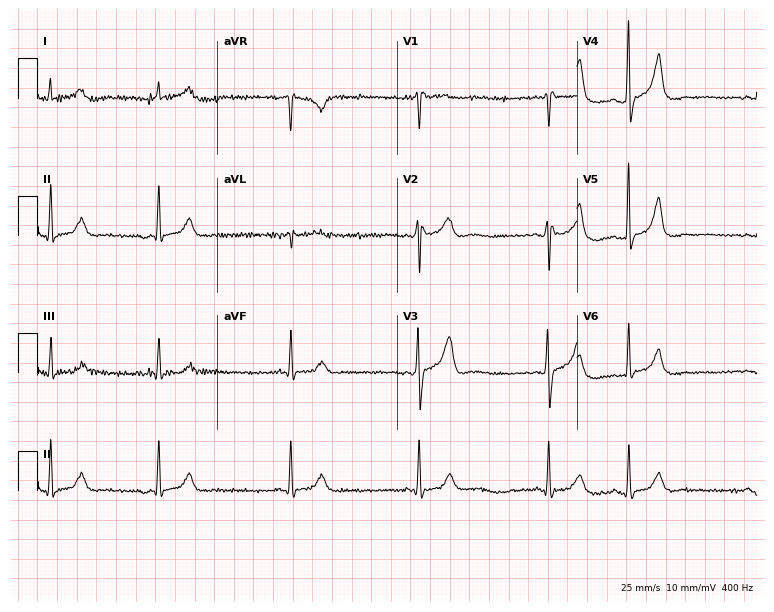
ECG (7.3-second recording at 400 Hz) — a male, 82 years old. Findings include sinus bradycardia (a sinus rate of 50 beats per minute or less), atrial fibrillation.